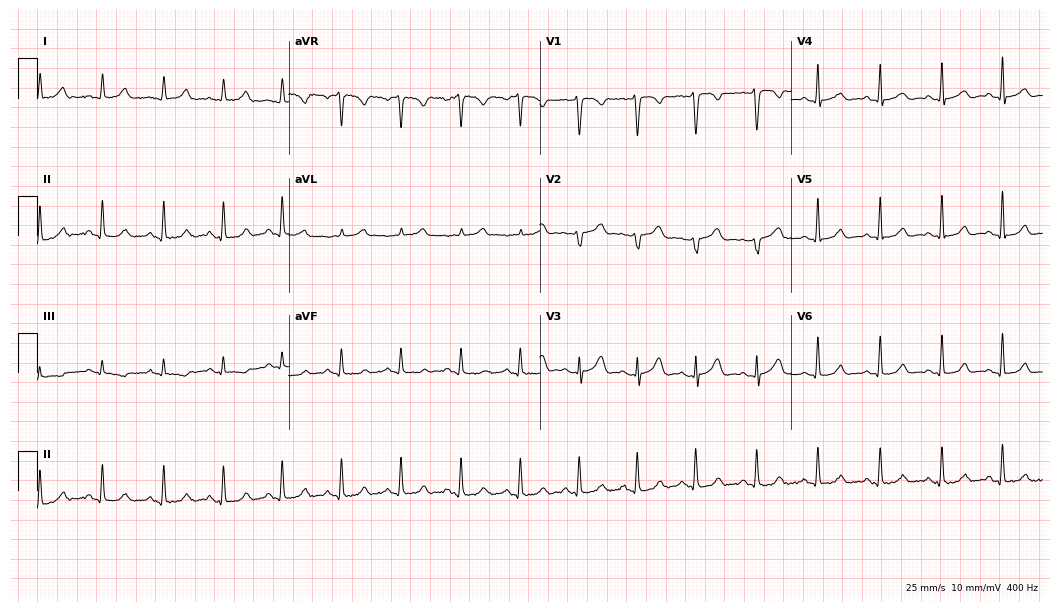
Standard 12-lead ECG recorded from a woman, 57 years old (10.2-second recording at 400 Hz). None of these six findings is recorded: first-degree AV block, right bundle branch block, left bundle branch block, sinus bradycardia, atrial fibrillation, sinus tachycardia.